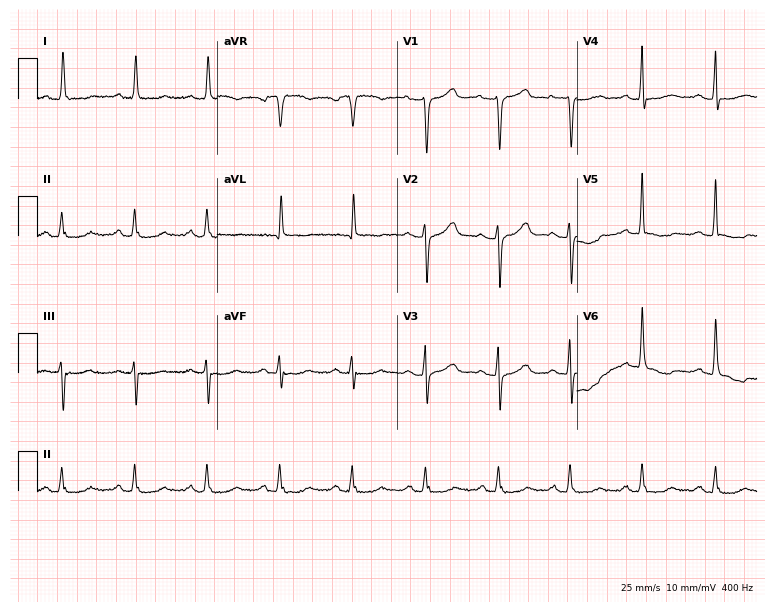
Electrocardiogram (7.3-second recording at 400 Hz), a female patient, 59 years old. Of the six screened findings (first-degree AV block, right bundle branch block, left bundle branch block, sinus bradycardia, atrial fibrillation, sinus tachycardia), none is recorded.